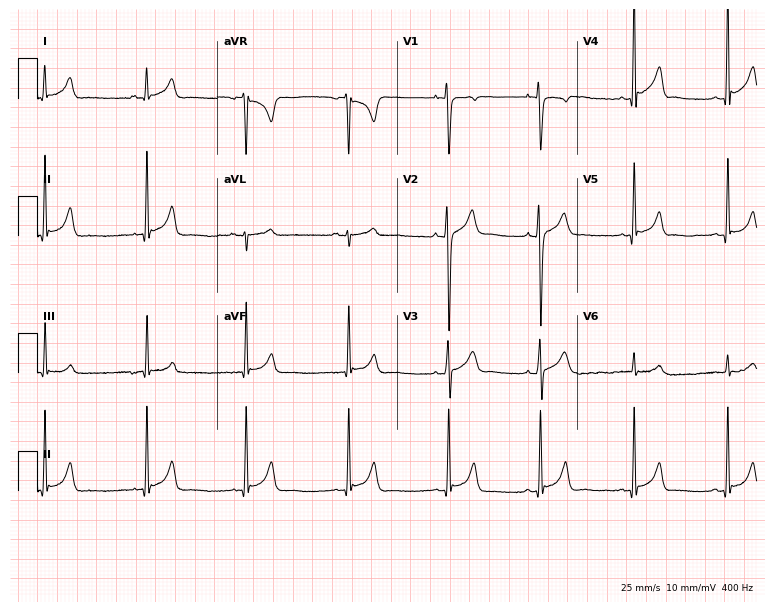
ECG (7.3-second recording at 400 Hz) — a 22-year-old male. Screened for six findings — first-degree AV block, right bundle branch block, left bundle branch block, sinus bradycardia, atrial fibrillation, sinus tachycardia — none is recorded.